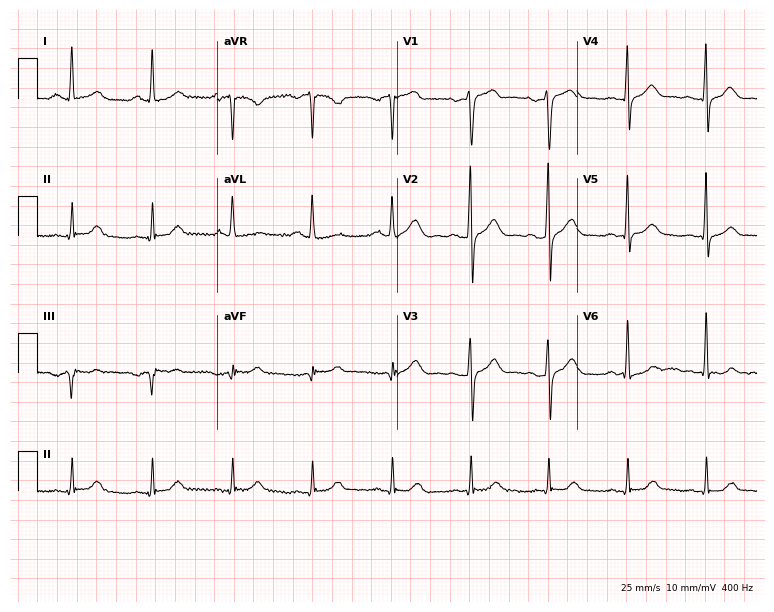
Electrocardiogram, a 68-year-old male patient. Overall reading on record: normal ECG.